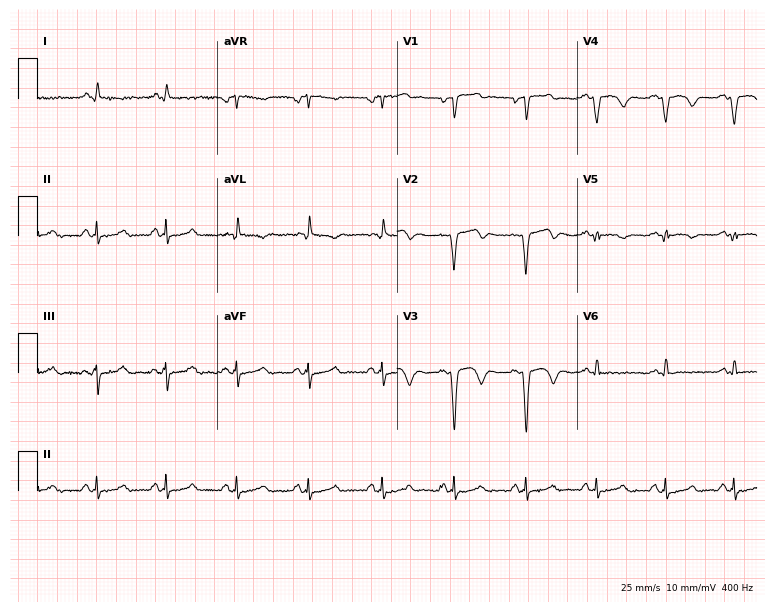
12-lead ECG (7.3-second recording at 400 Hz) from a 43-year-old man. Screened for six findings — first-degree AV block, right bundle branch block, left bundle branch block, sinus bradycardia, atrial fibrillation, sinus tachycardia — none is recorded. Other findings, if any, are not listed.